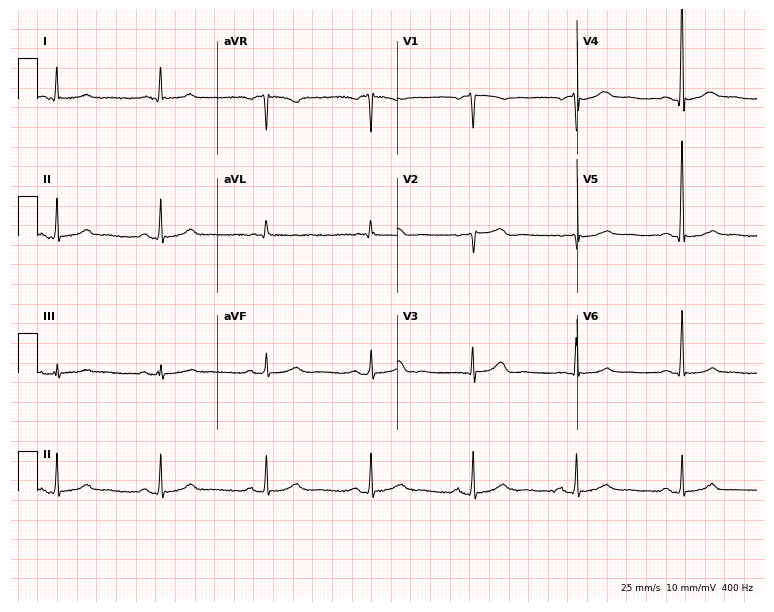
12-lead ECG (7.3-second recording at 400 Hz) from a 67-year-old female patient. Screened for six findings — first-degree AV block, right bundle branch block (RBBB), left bundle branch block (LBBB), sinus bradycardia, atrial fibrillation (AF), sinus tachycardia — none is recorded.